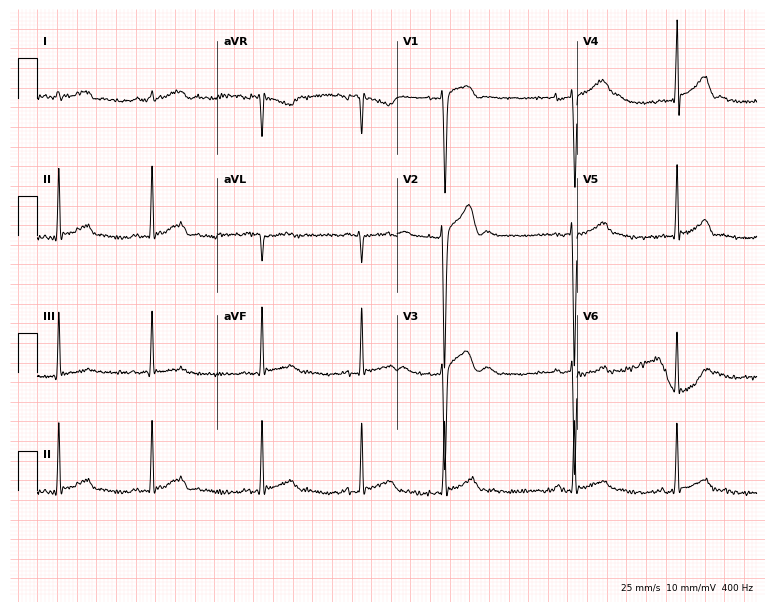
12-lead ECG from a 20-year-old man (7.3-second recording at 400 Hz). Recorded interpretation: within normal limits.